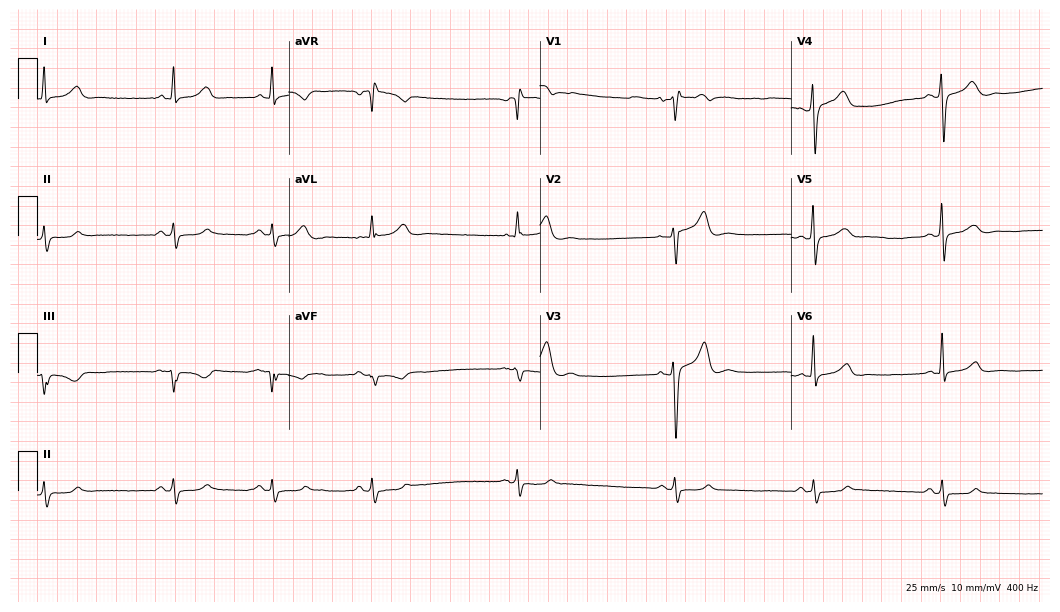
Standard 12-lead ECG recorded from a male, 39 years old (10.2-second recording at 400 Hz). The tracing shows sinus bradycardia (a sinus rate of 50 beats per minute or less).